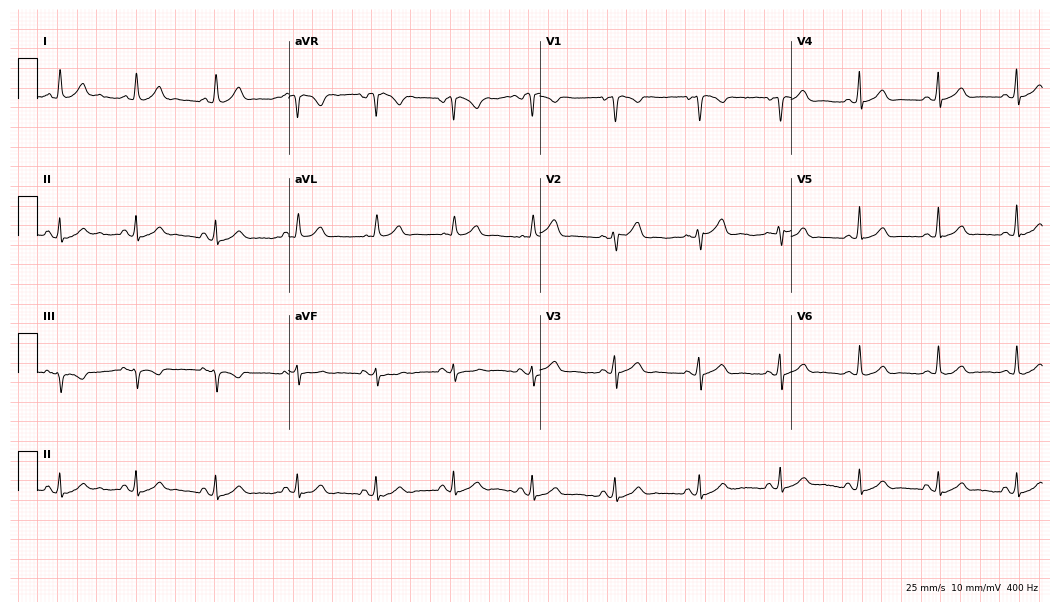
Resting 12-lead electrocardiogram (10.2-second recording at 400 Hz). Patient: a 35-year-old female. Read as a normal ECG.